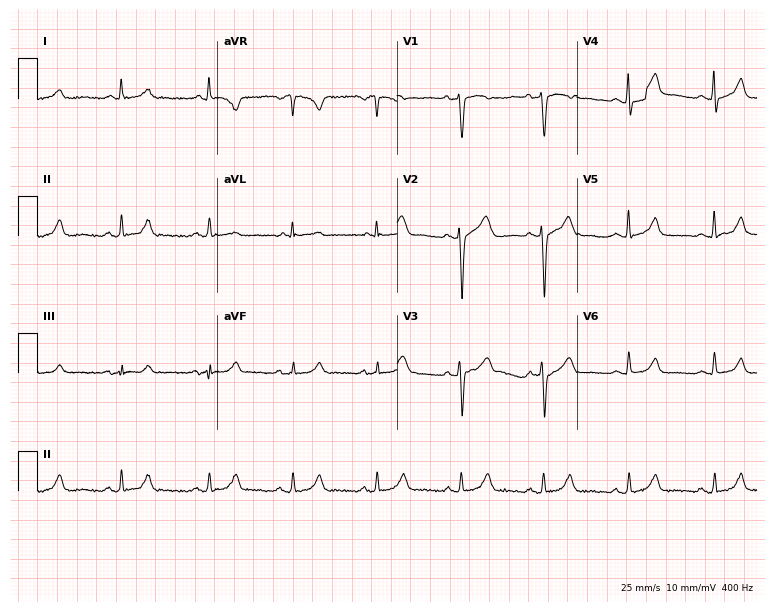
12-lead ECG (7.3-second recording at 400 Hz) from a 51-year-old female patient. Labelled as a normal ECG.